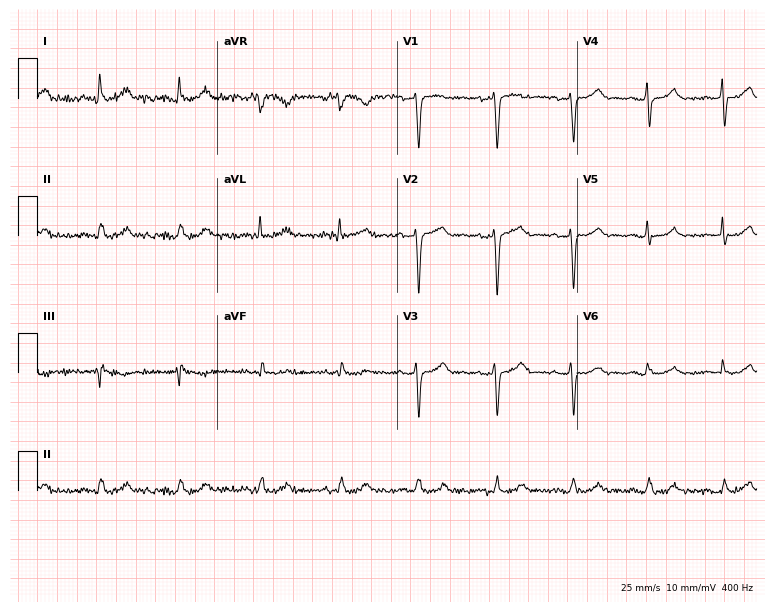
12-lead ECG (7.3-second recording at 400 Hz) from a 49-year-old woman. Labelled as a normal ECG.